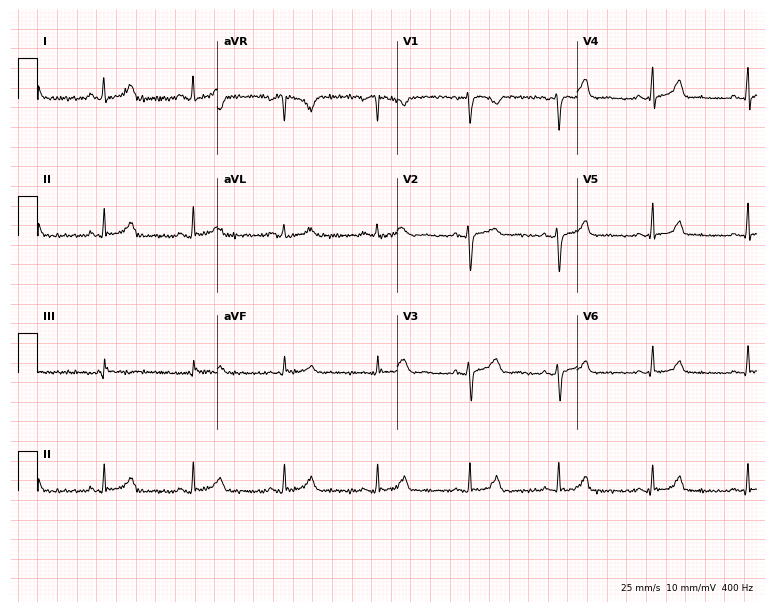
12-lead ECG from a 37-year-old woman. Labelled as a normal ECG.